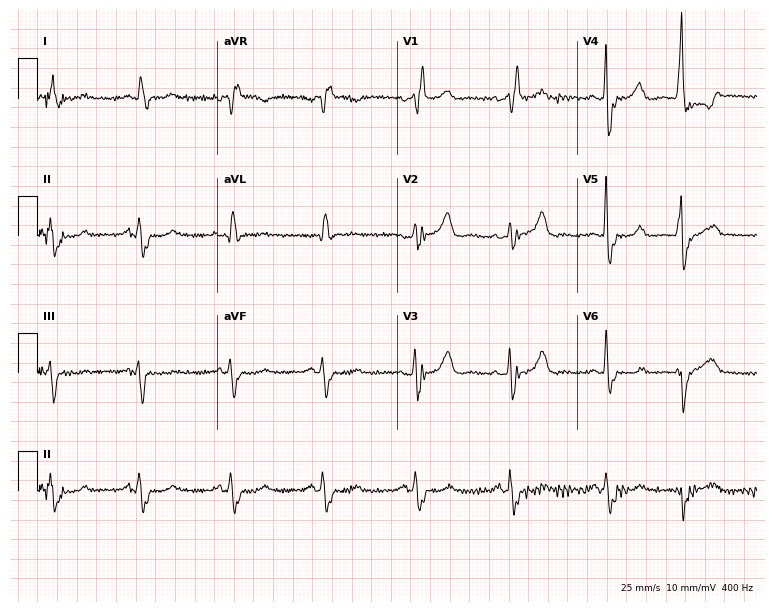
Electrocardiogram, a female, 67 years old. Interpretation includes right bundle branch block (RBBB).